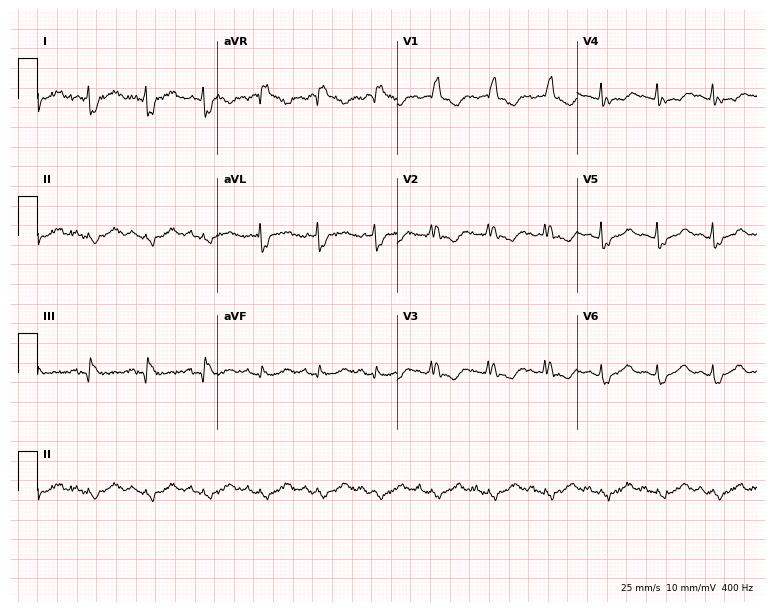
12-lead ECG from a woman, 58 years old (7.3-second recording at 400 Hz). No first-degree AV block, right bundle branch block (RBBB), left bundle branch block (LBBB), sinus bradycardia, atrial fibrillation (AF) or sinus tachycardia recorded for this tracing. Only these six findings were labelled.